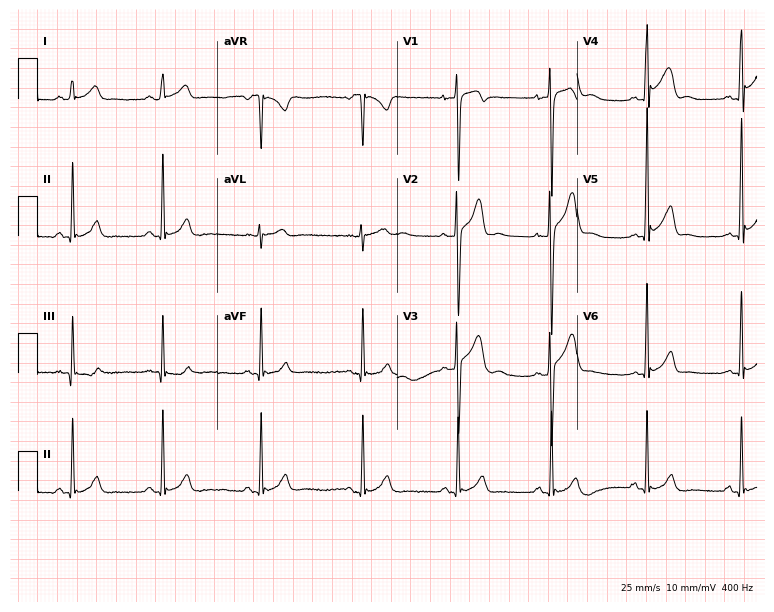
Electrocardiogram (7.3-second recording at 400 Hz), a 17-year-old male patient. Of the six screened findings (first-degree AV block, right bundle branch block (RBBB), left bundle branch block (LBBB), sinus bradycardia, atrial fibrillation (AF), sinus tachycardia), none is recorded.